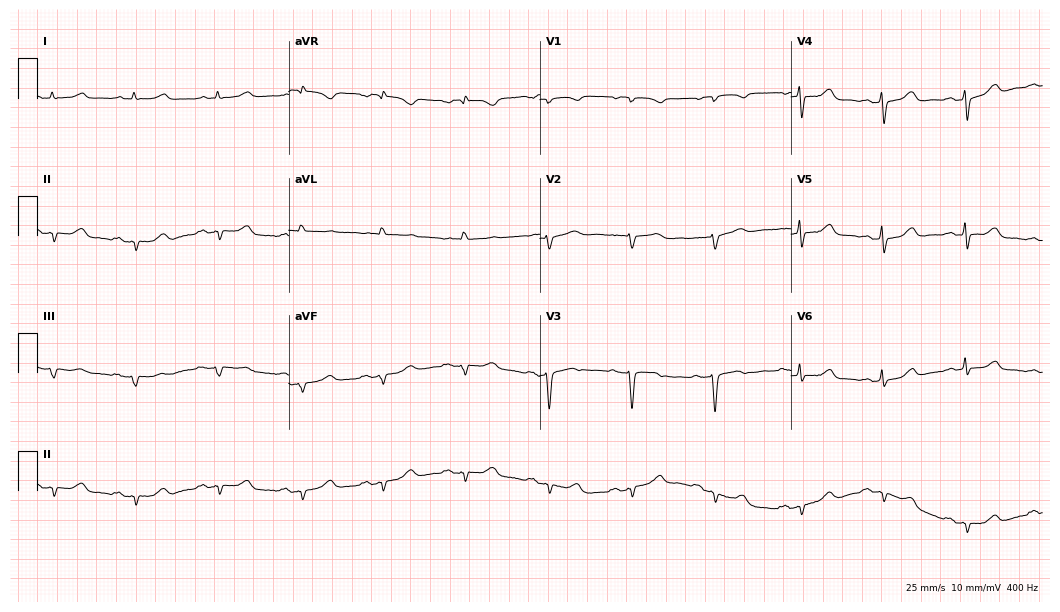
Electrocardiogram, a woman, 69 years old. Of the six screened findings (first-degree AV block, right bundle branch block, left bundle branch block, sinus bradycardia, atrial fibrillation, sinus tachycardia), none is recorded. Findings outside these six are not listed.